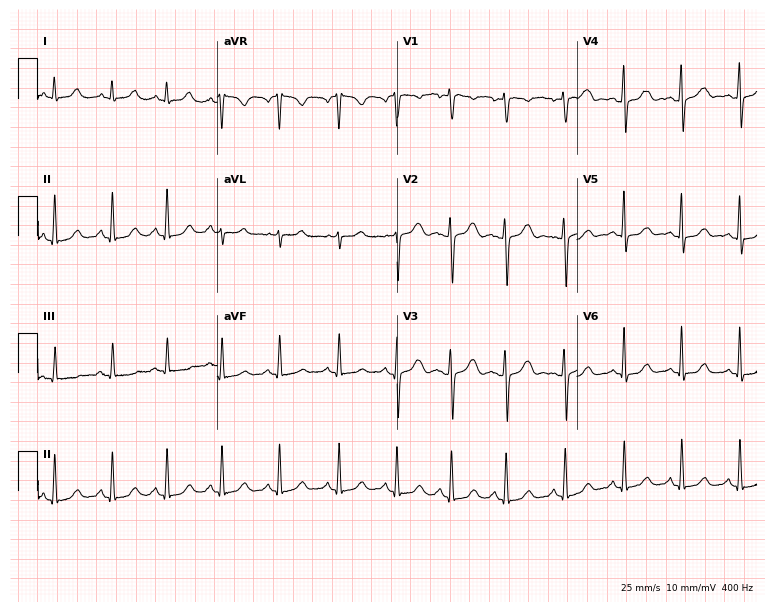
ECG (7.3-second recording at 400 Hz) — a 37-year-old woman. Findings include sinus tachycardia (a sinus rate of 100 beats per minute or more).